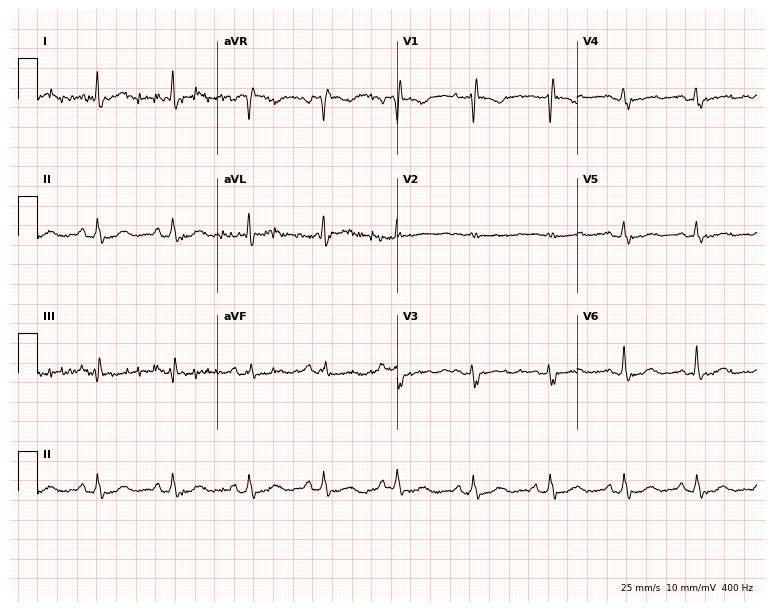
Electrocardiogram, a 79-year-old female. Of the six screened findings (first-degree AV block, right bundle branch block (RBBB), left bundle branch block (LBBB), sinus bradycardia, atrial fibrillation (AF), sinus tachycardia), none is recorded.